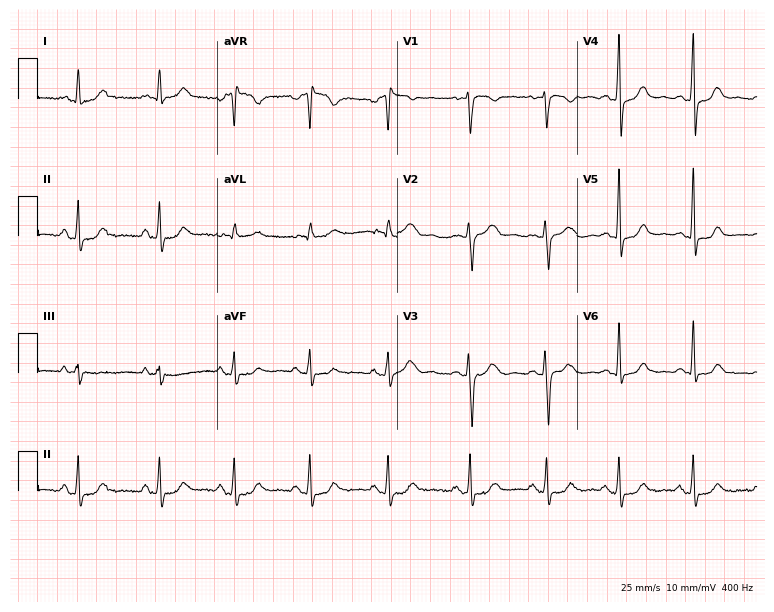
ECG (7.3-second recording at 400 Hz) — a female, 35 years old. Screened for six findings — first-degree AV block, right bundle branch block, left bundle branch block, sinus bradycardia, atrial fibrillation, sinus tachycardia — none is recorded. Only these six findings were labelled.